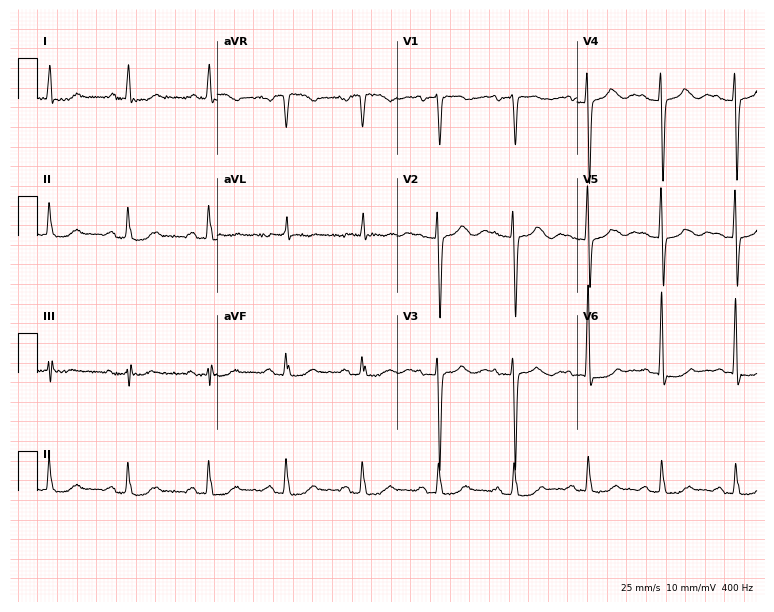
Standard 12-lead ECG recorded from a 60-year-old female patient (7.3-second recording at 400 Hz). Read as a normal ECG.